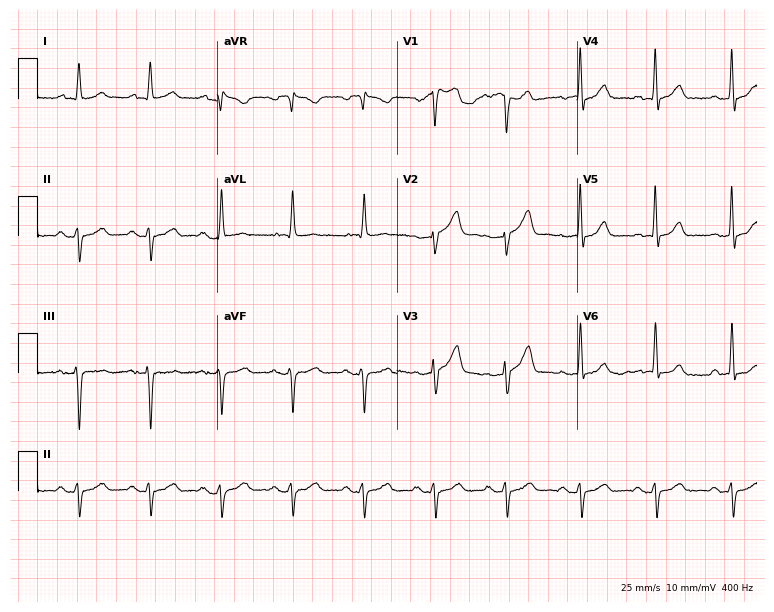
ECG — a 67-year-old male patient. Screened for six findings — first-degree AV block, right bundle branch block, left bundle branch block, sinus bradycardia, atrial fibrillation, sinus tachycardia — none is recorded. Findings outside these six are not listed.